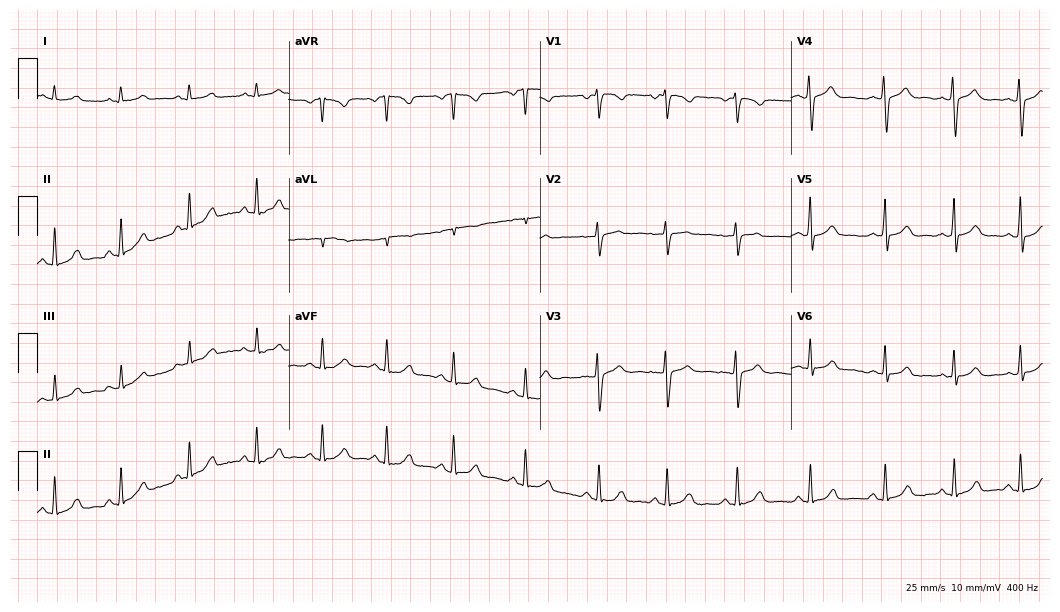
Electrocardiogram (10.2-second recording at 400 Hz), a 25-year-old woman. Overall reading on record: normal ECG.